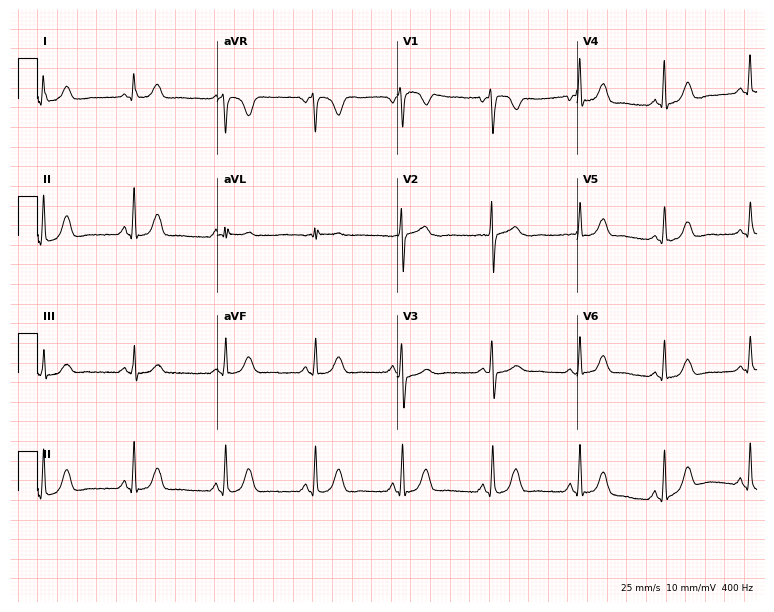
Resting 12-lead electrocardiogram. Patient: a 60-year-old female. Read as a normal ECG.